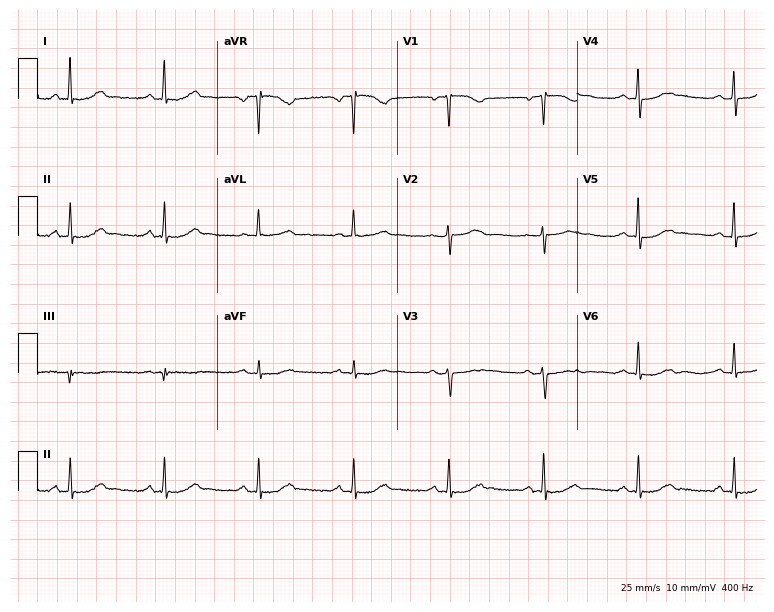
ECG (7.3-second recording at 400 Hz) — a female patient, 73 years old. Labelled as a normal ECG.